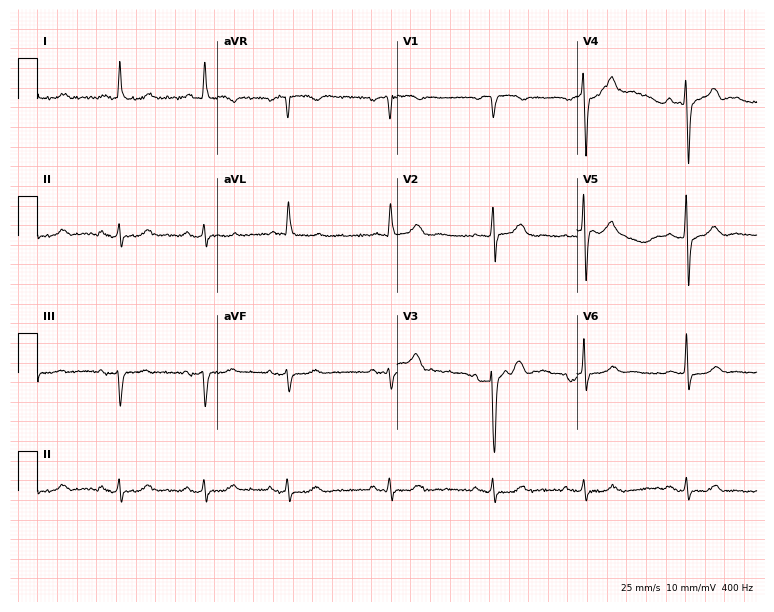
12-lead ECG from a man, 85 years old (7.3-second recording at 400 Hz). Recorded interpretation: within normal limits.